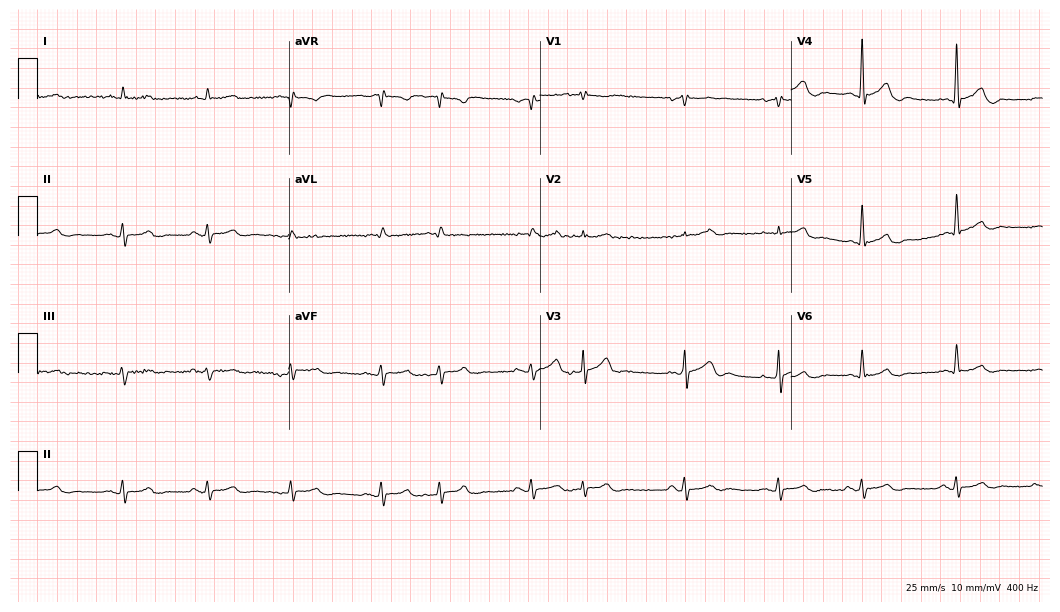
12-lead ECG from a 67-year-old male (10.2-second recording at 400 Hz). No first-degree AV block, right bundle branch block, left bundle branch block, sinus bradycardia, atrial fibrillation or sinus tachycardia recorded for this tracing. Findings outside these six are not listed.